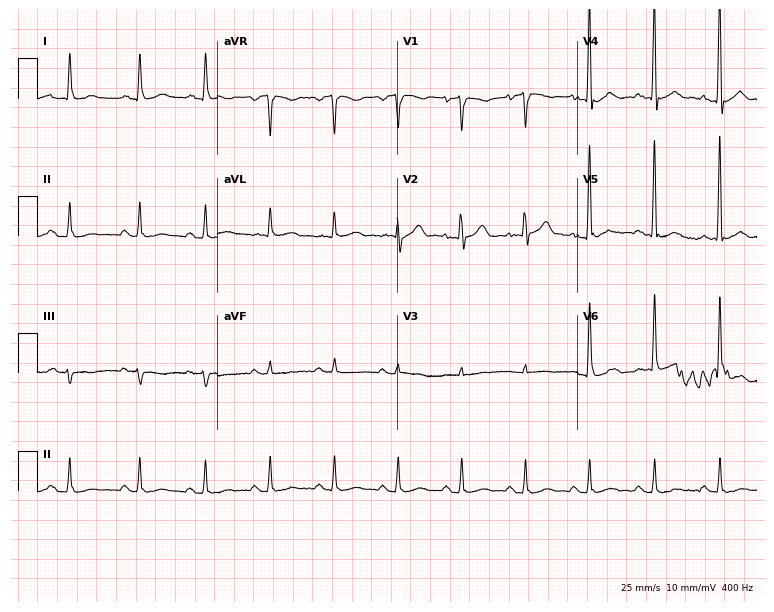
Electrocardiogram (7.3-second recording at 400 Hz), a male patient, 72 years old. Of the six screened findings (first-degree AV block, right bundle branch block (RBBB), left bundle branch block (LBBB), sinus bradycardia, atrial fibrillation (AF), sinus tachycardia), none is recorded. Findings outside these six are not listed.